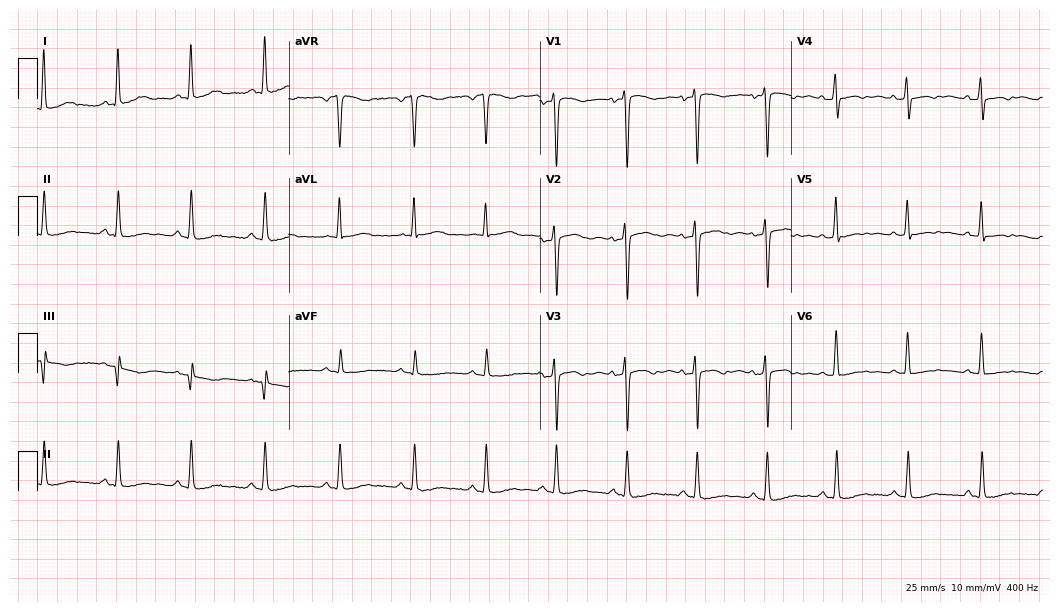
Resting 12-lead electrocardiogram. Patient: a female, 45 years old. None of these six findings is recorded: first-degree AV block, right bundle branch block, left bundle branch block, sinus bradycardia, atrial fibrillation, sinus tachycardia. Only these six findings were labelled.